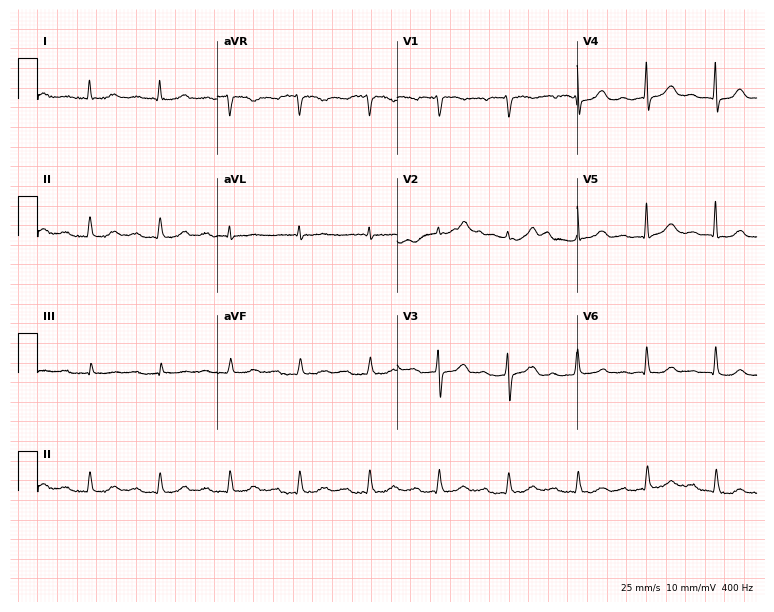
12-lead ECG from a 79-year-old male patient. Findings include first-degree AV block.